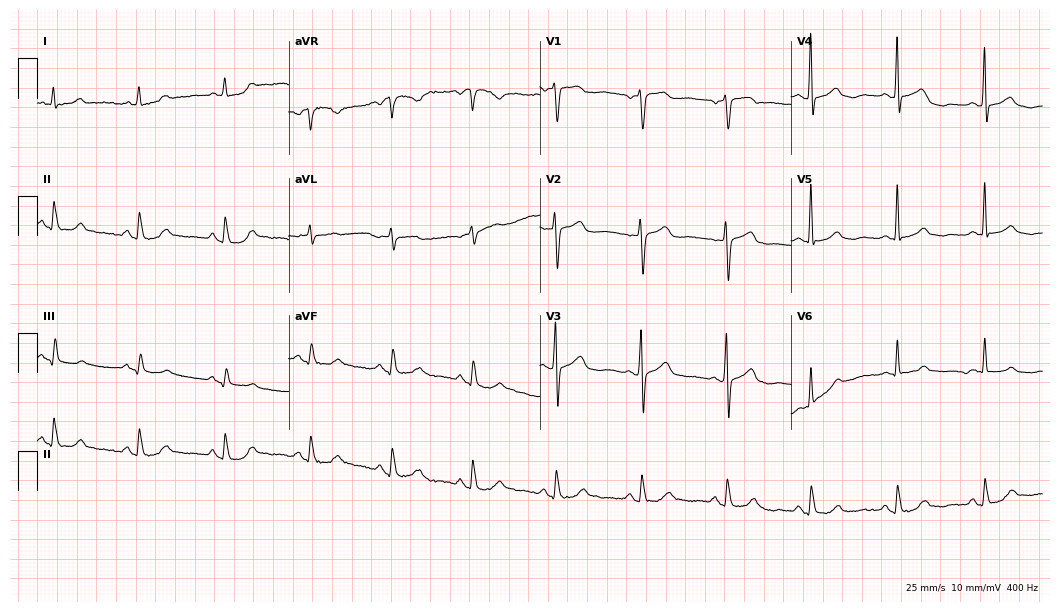
ECG — a 77-year-old male patient. Labelled as a normal ECG.